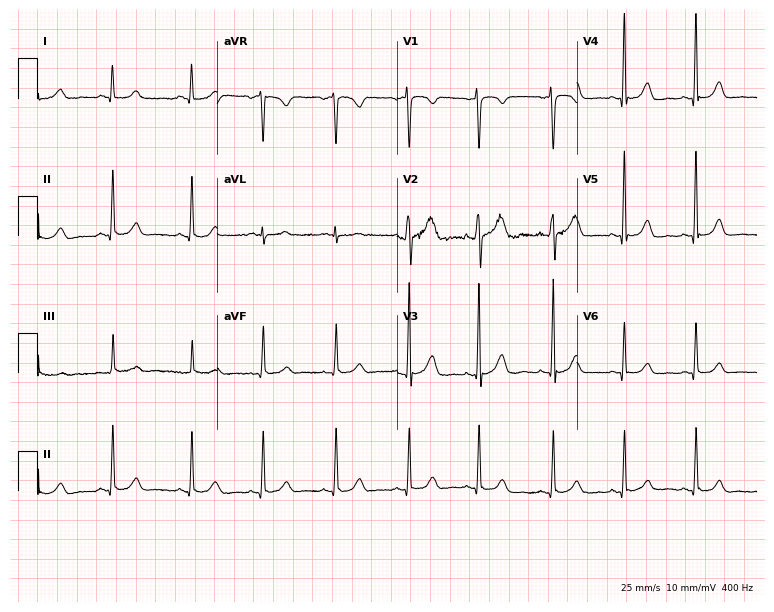
ECG — a woman, 25 years old. Screened for six findings — first-degree AV block, right bundle branch block, left bundle branch block, sinus bradycardia, atrial fibrillation, sinus tachycardia — none is recorded.